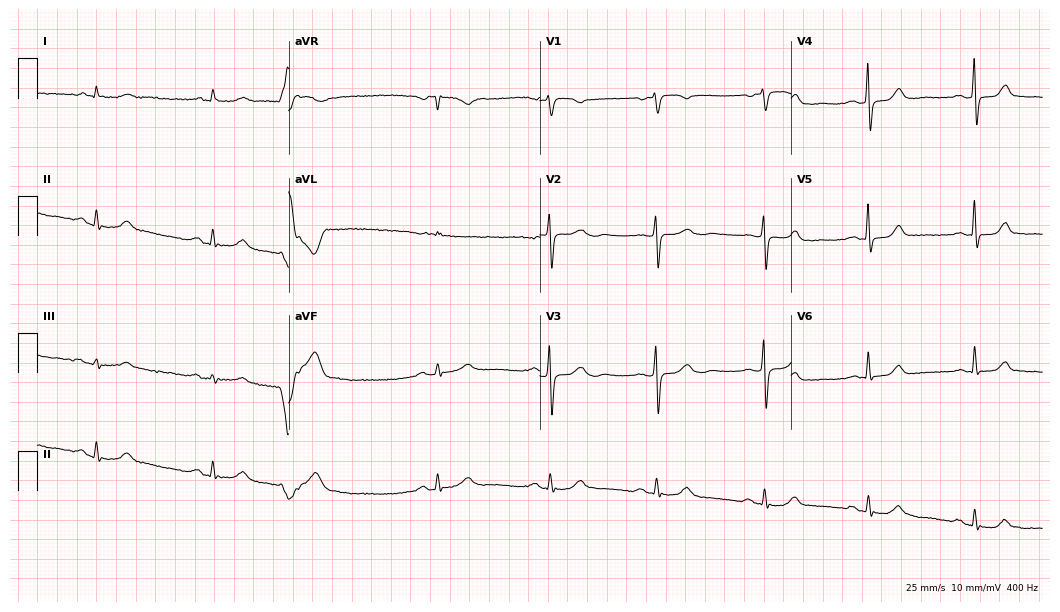
ECG (10.2-second recording at 400 Hz) — an 80-year-old male. Labelled as a normal ECG.